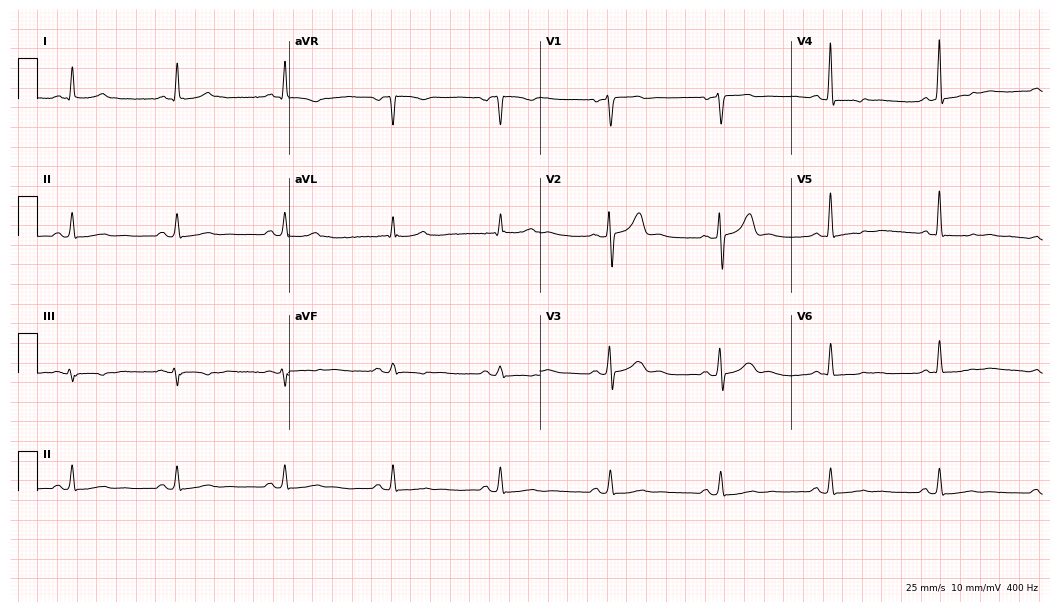
Electrocardiogram, a man, 55 years old. Of the six screened findings (first-degree AV block, right bundle branch block (RBBB), left bundle branch block (LBBB), sinus bradycardia, atrial fibrillation (AF), sinus tachycardia), none is recorded. Only these six findings were labelled.